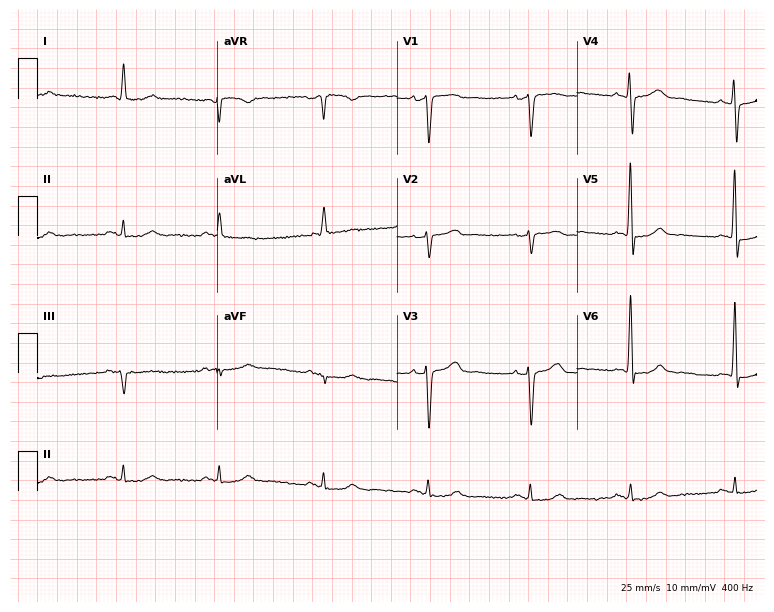
Electrocardiogram (7.3-second recording at 400 Hz), a 61-year-old man. Of the six screened findings (first-degree AV block, right bundle branch block, left bundle branch block, sinus bradycardia, atrial fibrillation, sinus tachycardia), none is recorded.